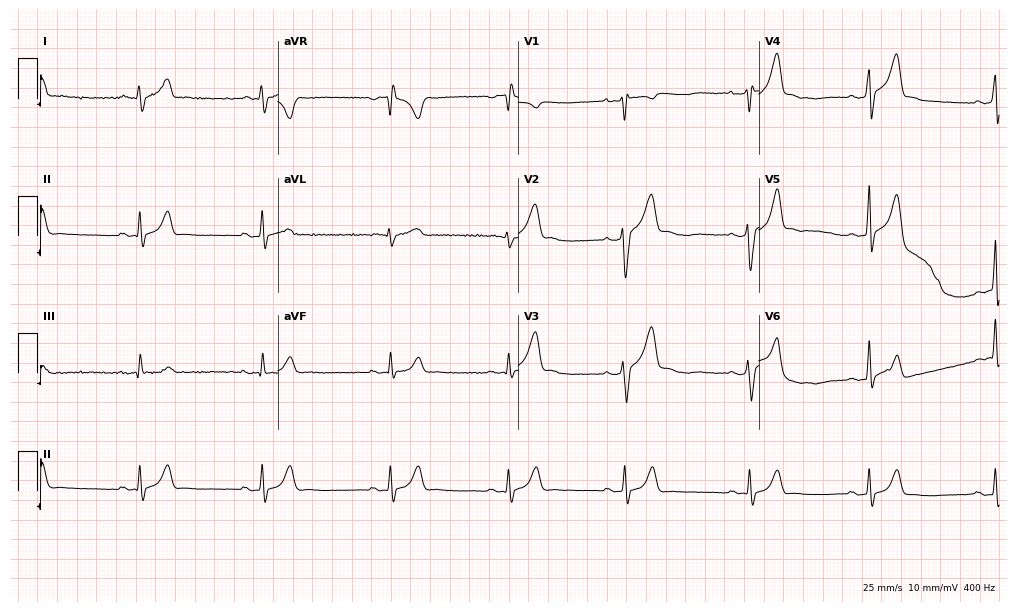
12-lead ECG from a female, 22 years old. No first-degree AV block, right bundle branch block, left bundle branch block, sinus bradycardia, atrial fibrillation or sinus tachycardia recorded for this tracing. Other findings, if any, are not listed.